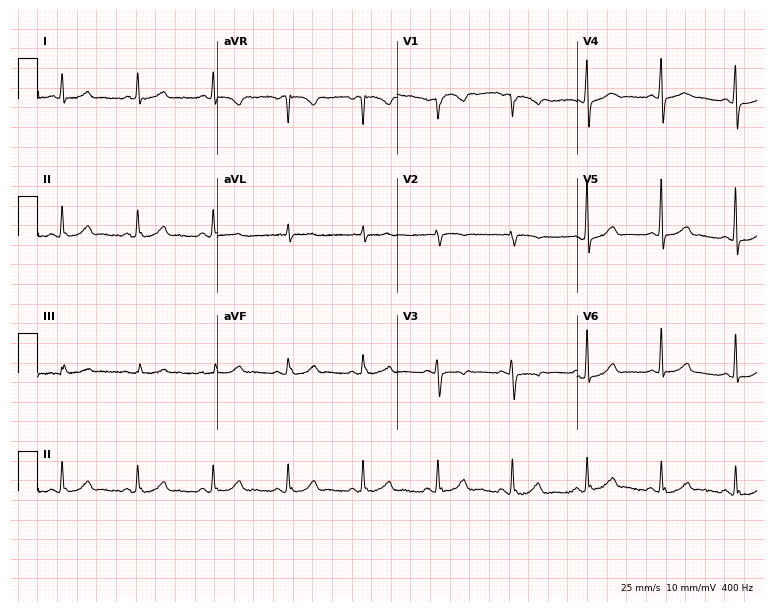
Resting 12-lead electrocardiogram. Patient: a female, 74 years old. Read as a normal ECG.